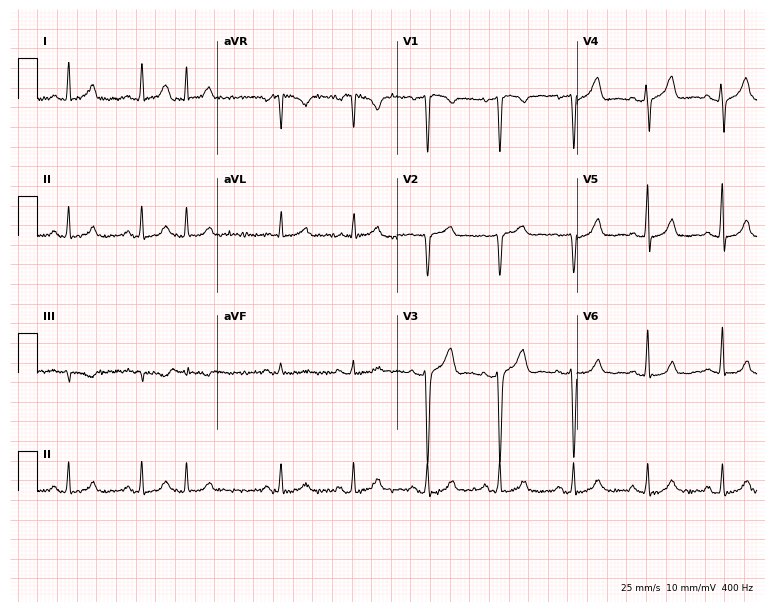
Standard 12-lead ECG recorded from a male, 66 years old. None of these six findings is recorded: first-degree AV block, right bundle branch block, left bundle branch block, sinus bradycardia, atrial fibrillation, sinus tachycardia.